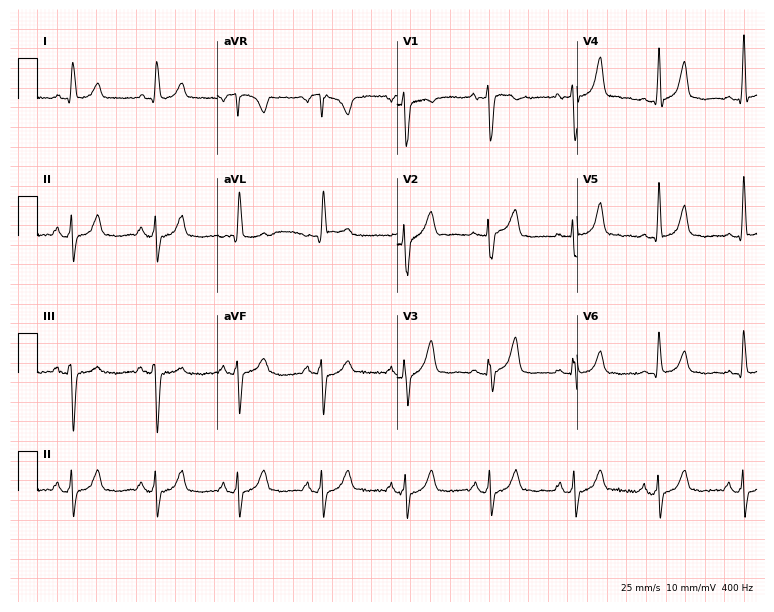
ECG — a woman, 78 years old. Screened for six findings — first-degree AV block, right bundle branch block, left bundle branch block, sinus bradycardia, atrial fibrillation, sinus tachycardia — none is recorded.